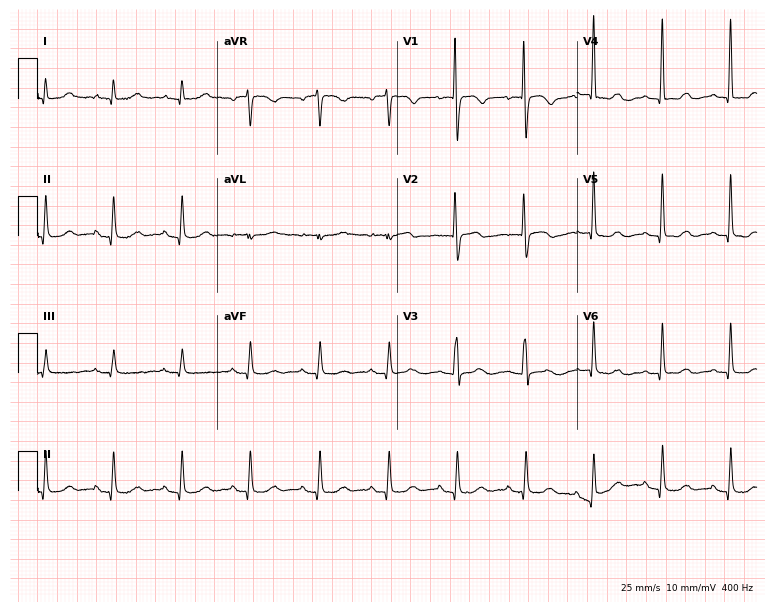
12-lead ECG from a 66-year-old female patient. Recorded interpretation: within normal limits.